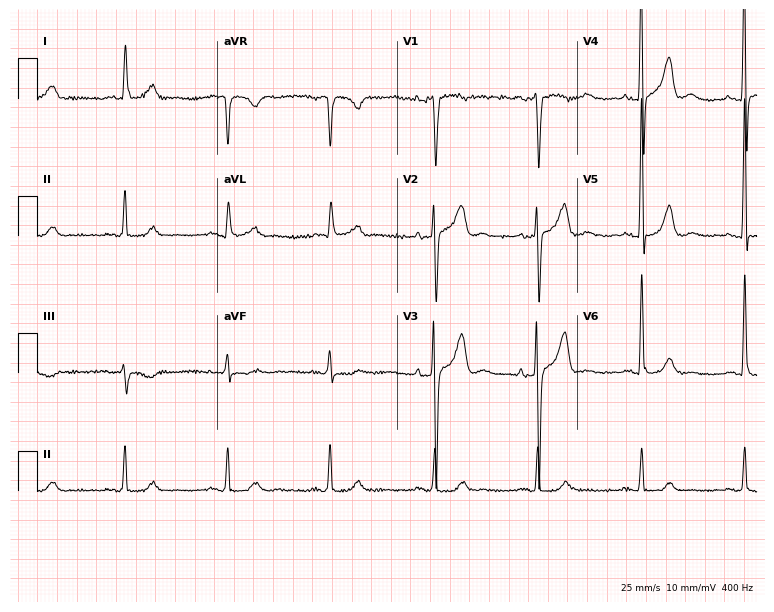
12-lead ECG from a 74-year-old male patient. Labelled as a normal ECG.